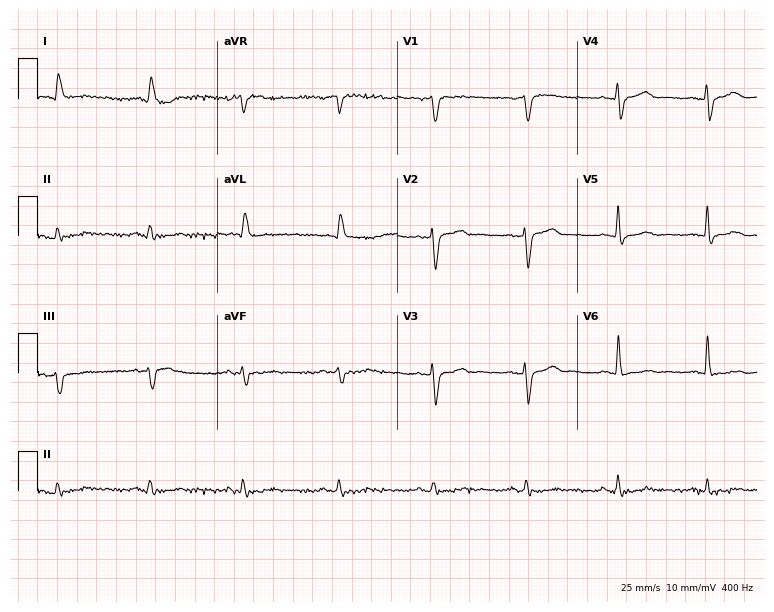
ECG (7.3-second recording at 400 Hz) — an 84-year-old male. Screened for six findings — first-degree AV block, right bundle branch block (RBBB), left bundle branch block (LBBB), sinus bradycardia, atrial fibrillation (AF), sinus tachycardia — none is recorded.